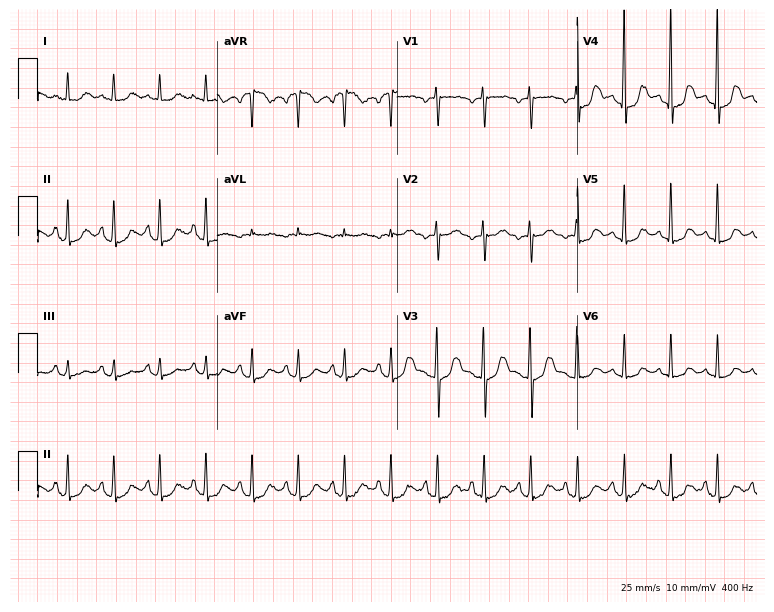
12-lead ECG (7.3-second recording at 400 Hz) from a female, 73 years old. Findings include sinus tachycardia (a sinus rate of 100 beats per minute or more).